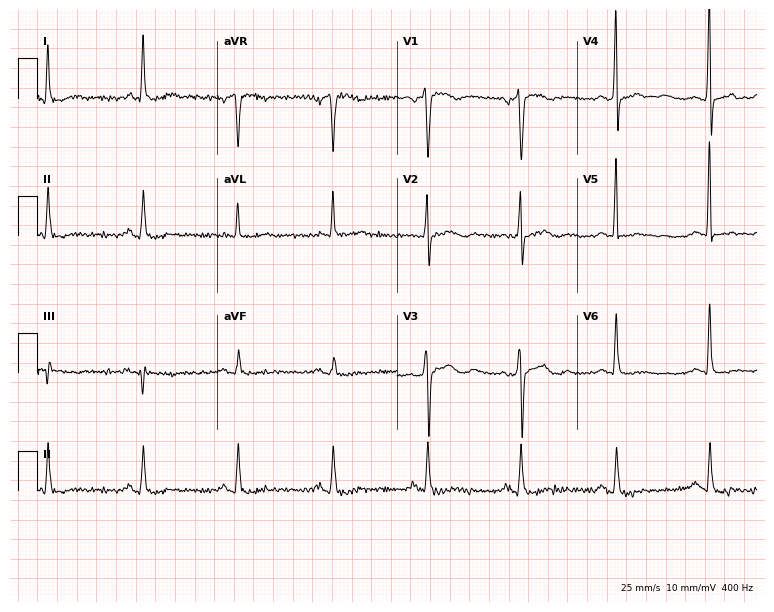
Resting 12-lead electrocardiogram (7.3-second recording at 400 Hz). Patient: a male, 63 years old. None of these six findings is recorded: first-degree AV block, right bundle branch block, left bundle branch block, sinus bradycardia, atrial fibrillation, sinus tachycardia. Other findings, if any, are not listed.